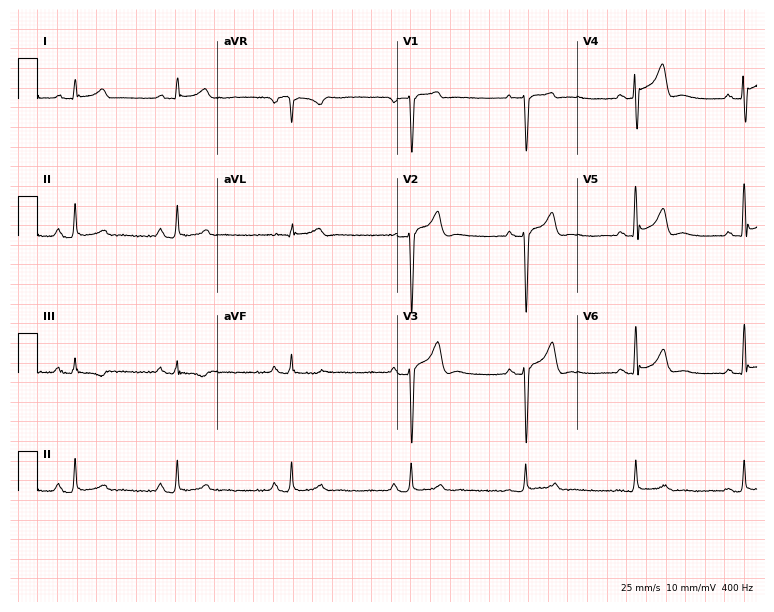
12-lead ECG from a 34-year-old man. Screened for six findings — first-degree AV block, right bundle branch block, left bundle branch block, sinus bradycardia, atrial fibrillation, sinus tachycardia — none is recorded.